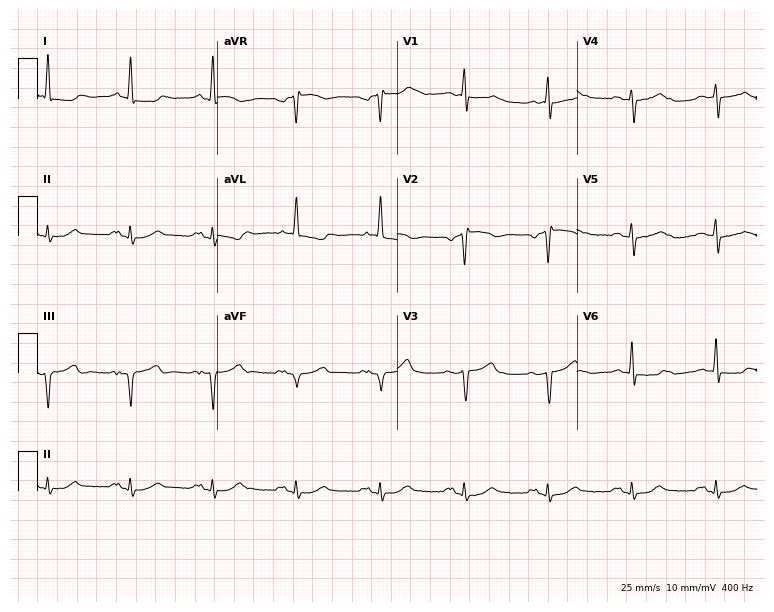
12-lead ECG from a 60-year-old man. Screened for six findings — first-degree AV block, right bundle branch block, left bundle branch block, sinus bradycardia, atrial fibrillation, sinus tachycardia — none is recorded. Other findings, if any, are not listed.